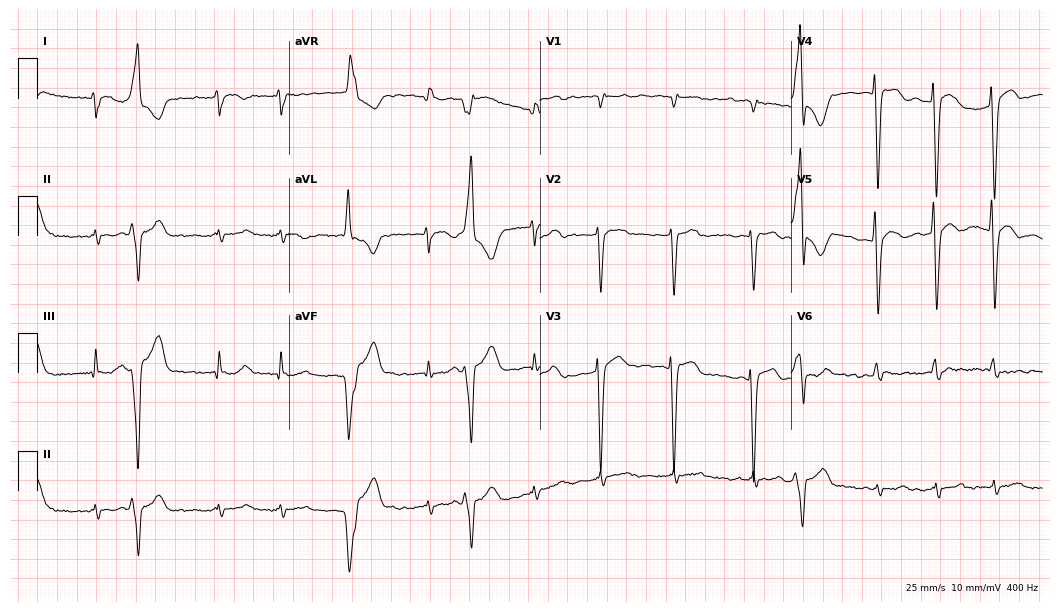
12-lead ECG from a 60-year-old male patient. Shows atrial fibrillation (AF).